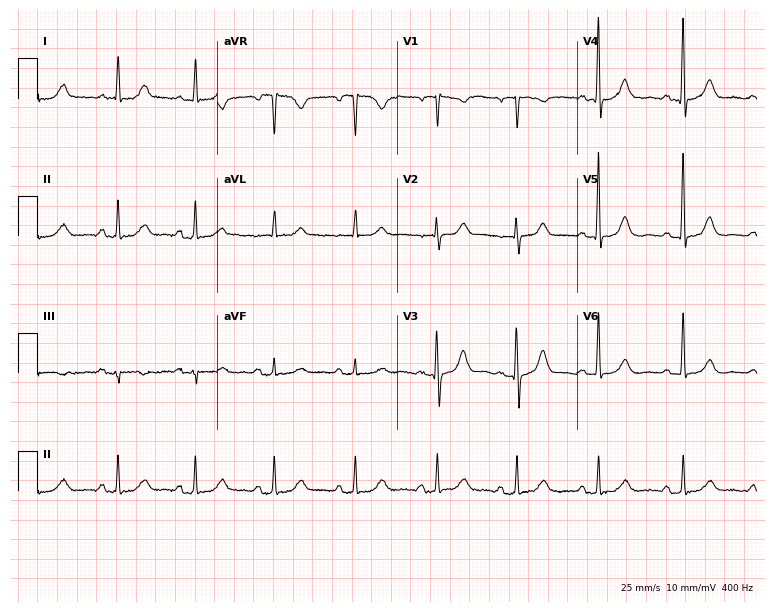
Electrocardiogram, an 80-year-old female patient. Overall reading on record: normal ECG.